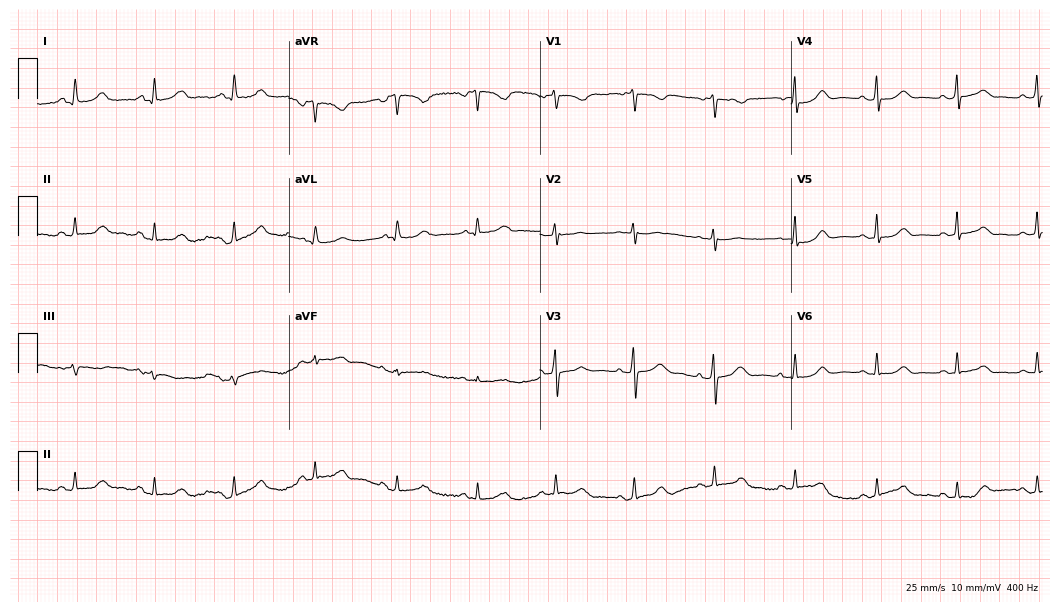
Electrocardiogram, a 67-year-old female patient. Overall reading on record: normal ECG.